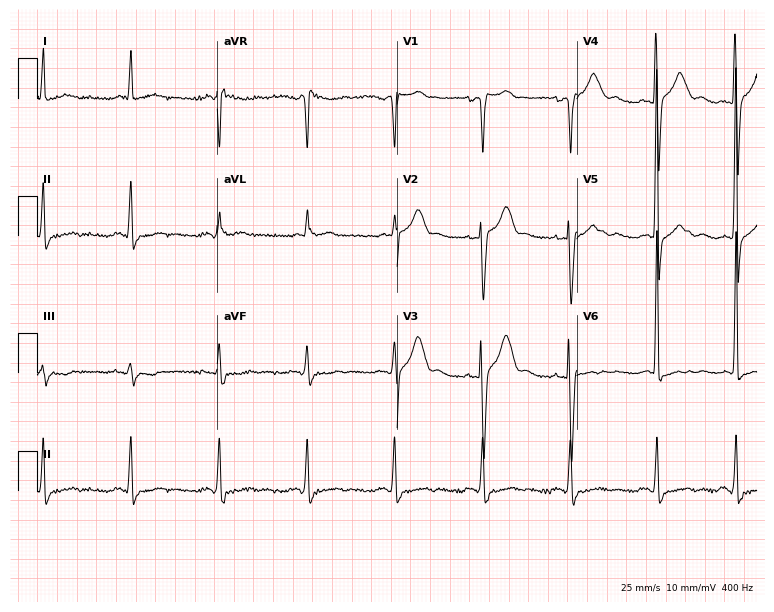
ECG (7.3-second recording at 400 Hz) — a 69-year-old man. Screened for six findings — first-degree AV block, right bundle branch block, left bundle branch block, sinus bradycardia, atrial fibrillation, sinus tachycardia — none is recorded. Only these six findings were labelled.